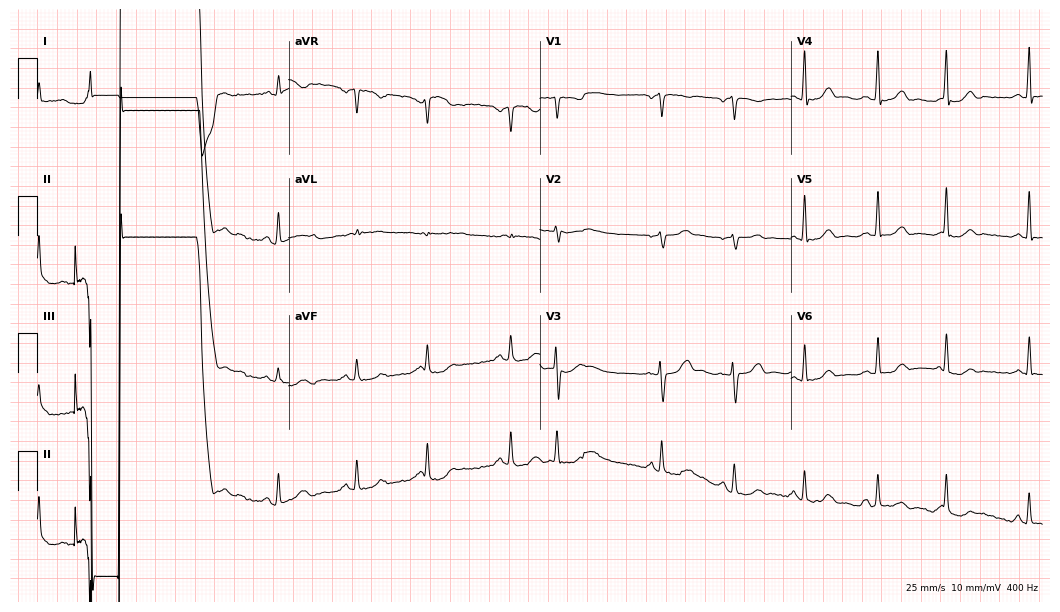
12-lead ECG from a 49-year-old female. Labelled as a normal ECG.